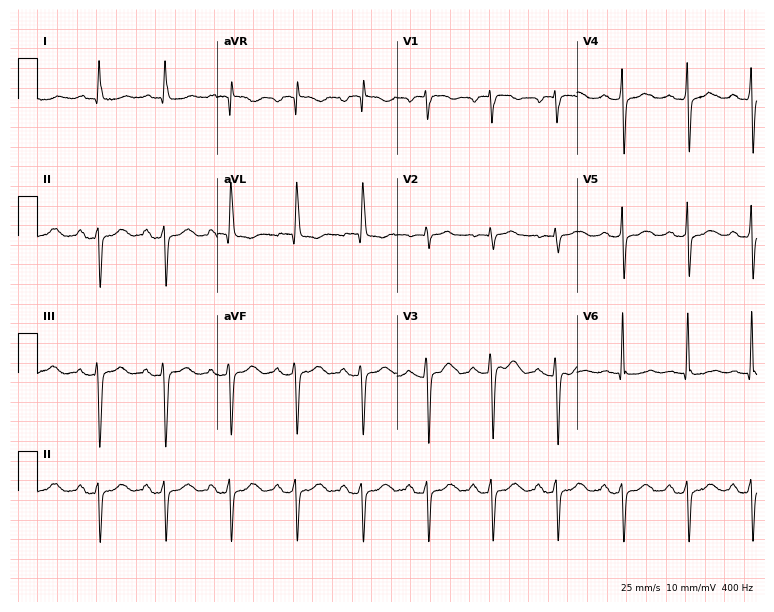
12-lead ECG from a female patient, 82 years old (7.3-second recording at 400 Hz). No first-degree AV block, right bundle branch block, left bundle branch block, sinus bradycardia, atrial fibrillation or sinus tachycardia recorded for this tracing.